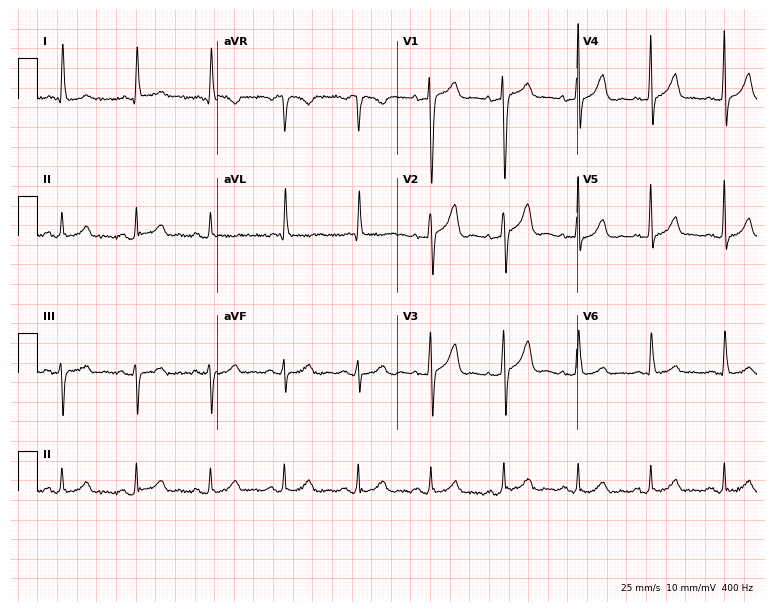
Standard 12-lead ECG recorded from a female patient, 85 years old (7.3-second recording at 400 Hz). Read as a normal ECG.